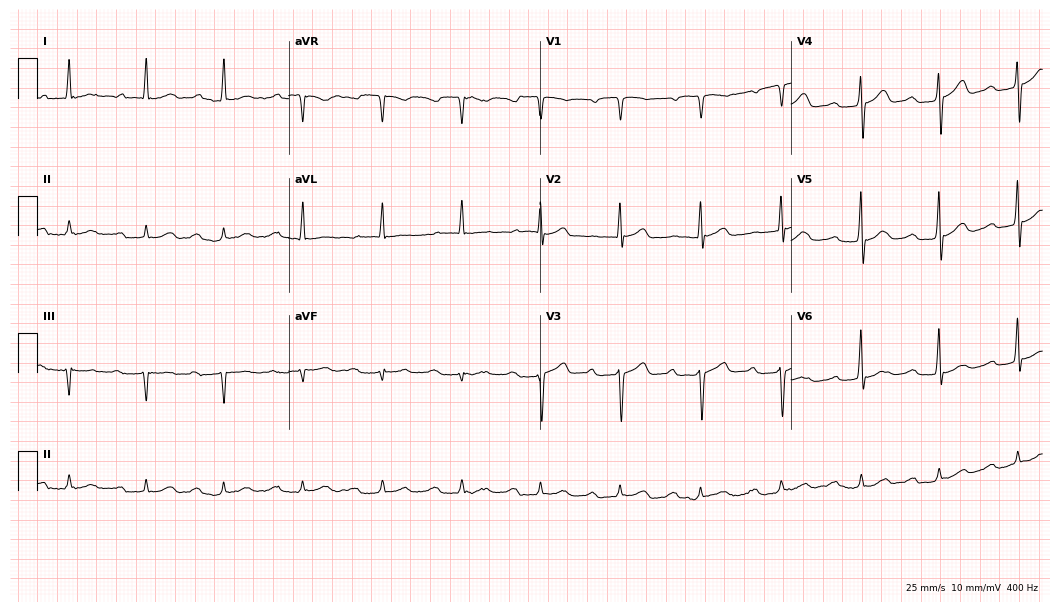
Resting 12-lead electrocardiogram (10.2-second recording at 400 Hz). Patient: an 80-year-old man. None of these six findings is recorded: first-degree AV block, right bundle branch block (RBBB), left bundle branch block (LBBB), sinus bradycardia, atrial fibrillation (AF), sinus tachycardia. Other findings, if any, are not listed.